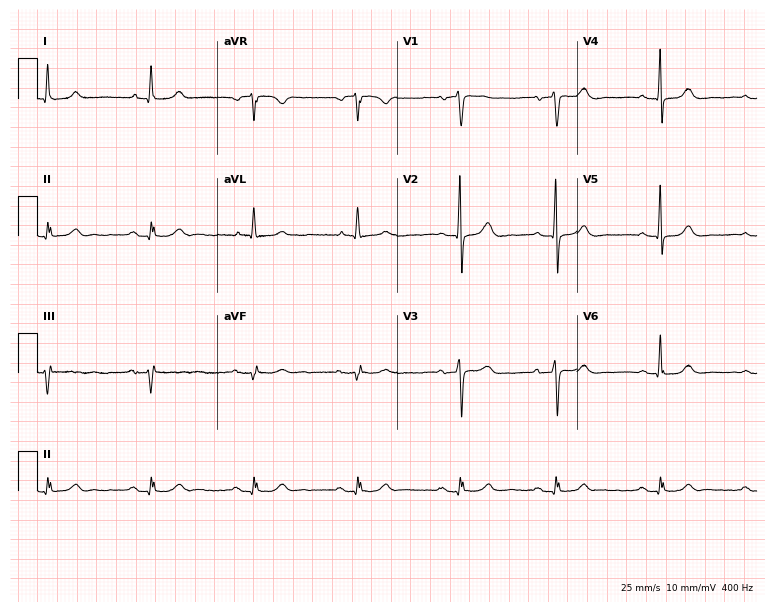
Resting 12-lead electrocardiogram (7.3-second recording at 400 Hz). Patient: an 83-year-old man. Read as a normal ECG.